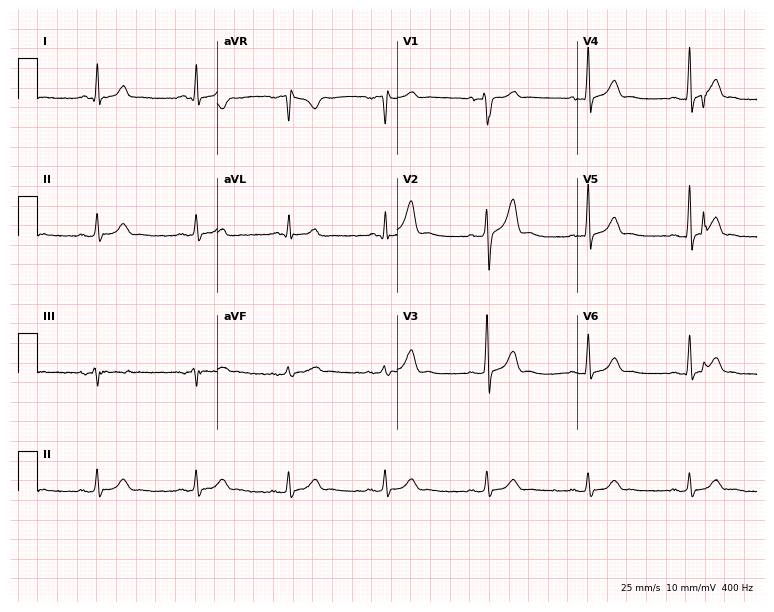
Standard 12-lead ECG recorded from a man, 38 years old (7.3-second recording at 400 Hz). Read as a normal ECG.